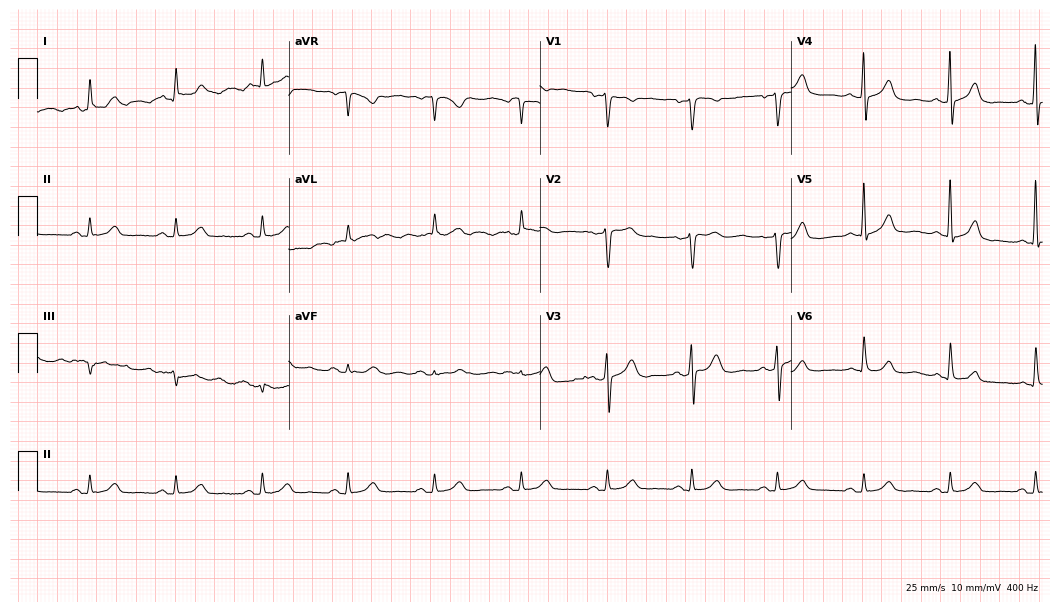
ECG — a male, 77 years old. Labelled as a normal ECG.